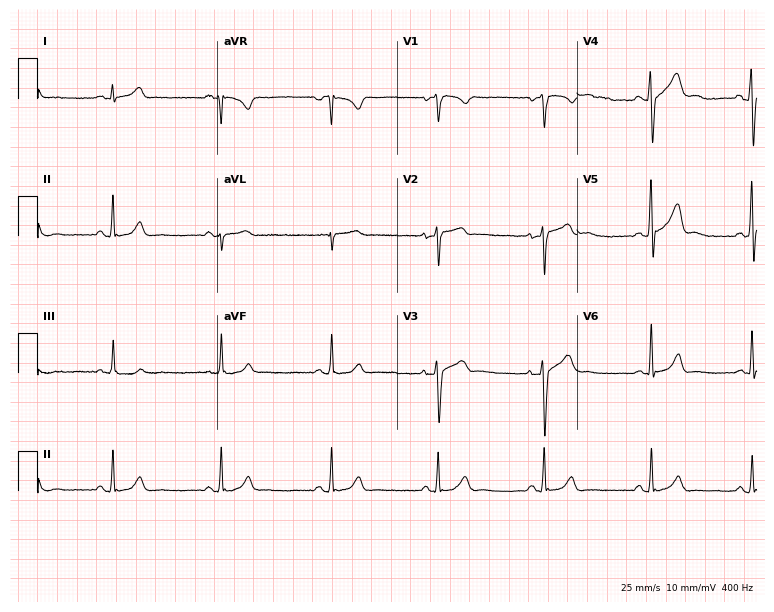
12-lead ECG (7.3-second recording at 400 Hz) from a male, 35 years old. Labelled as a normal ECG.